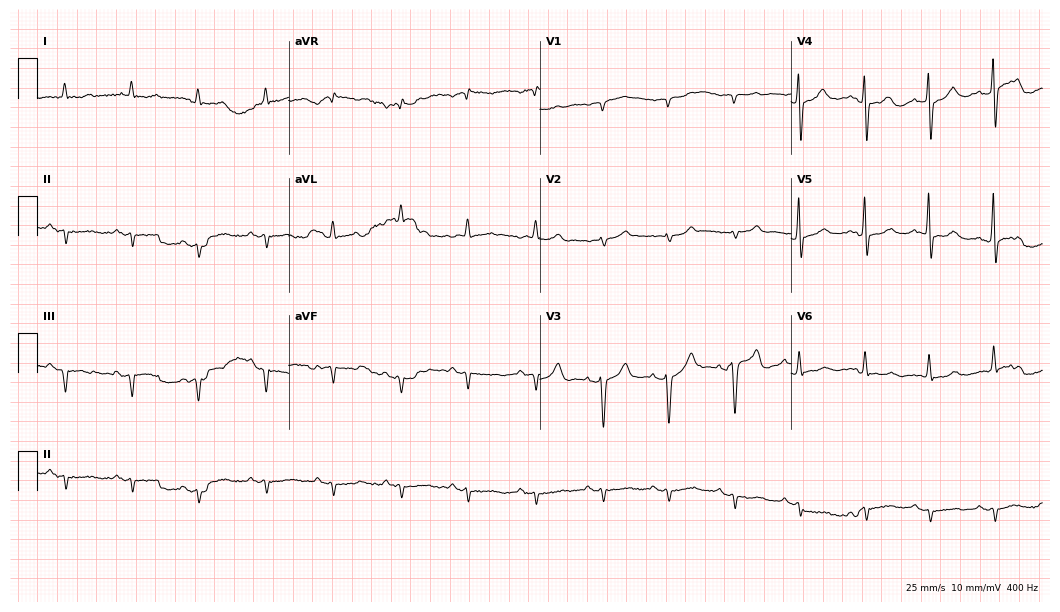
Electrocardiogram, an 80-year-old man. Of the six screened findings (first-degree AV block, right bundle branch block, left bundle branch block, sinus bradycardia, atrial fibrillation, sinus tachycardia), none is recorded. Only these six findings were labelled.